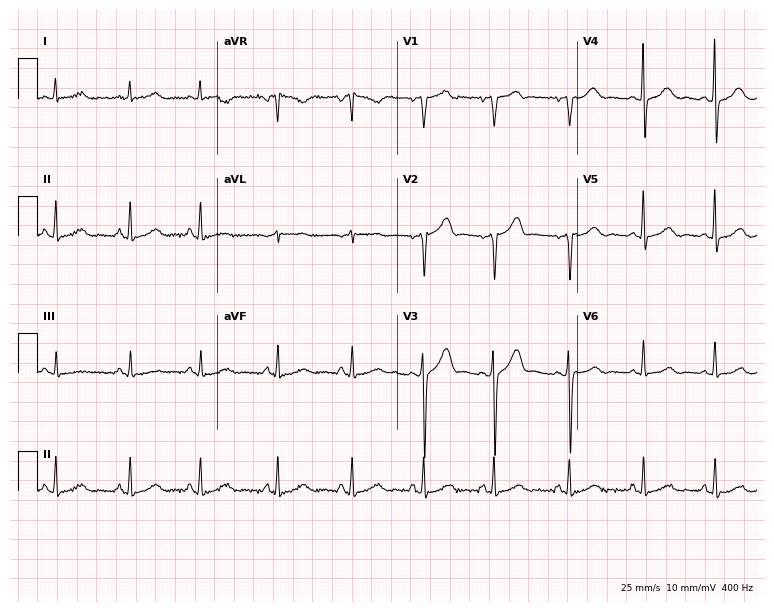
12-lead ECG from a 48-year-old woman. Recorded interpretation: within normal limits.